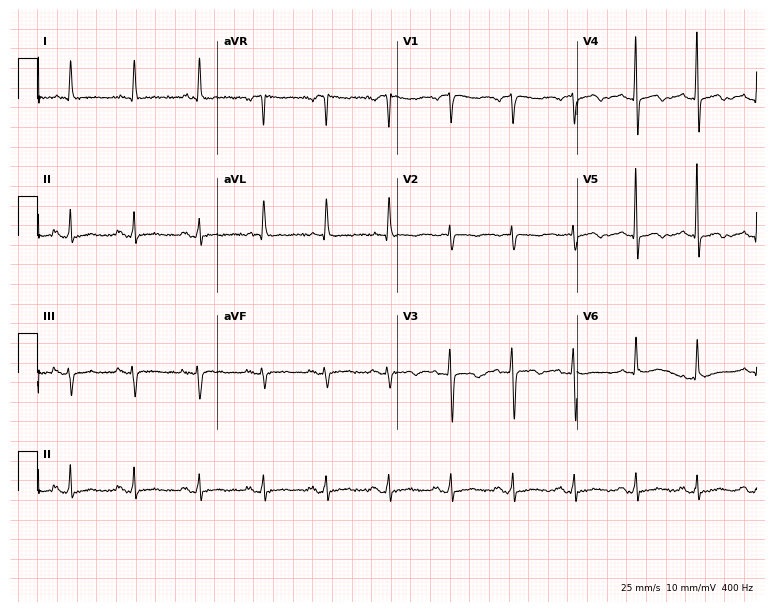
ECG (7.3-second recording at 400 Hz) — a female patient, 78 years old. Screened for six findings — first-degree AV block, right bundle branch block (RBBB), left bundle branch block (LBBB), sinus bradycardia, atrial fibrillation (AF), sinus tachycardia — none is recorded.